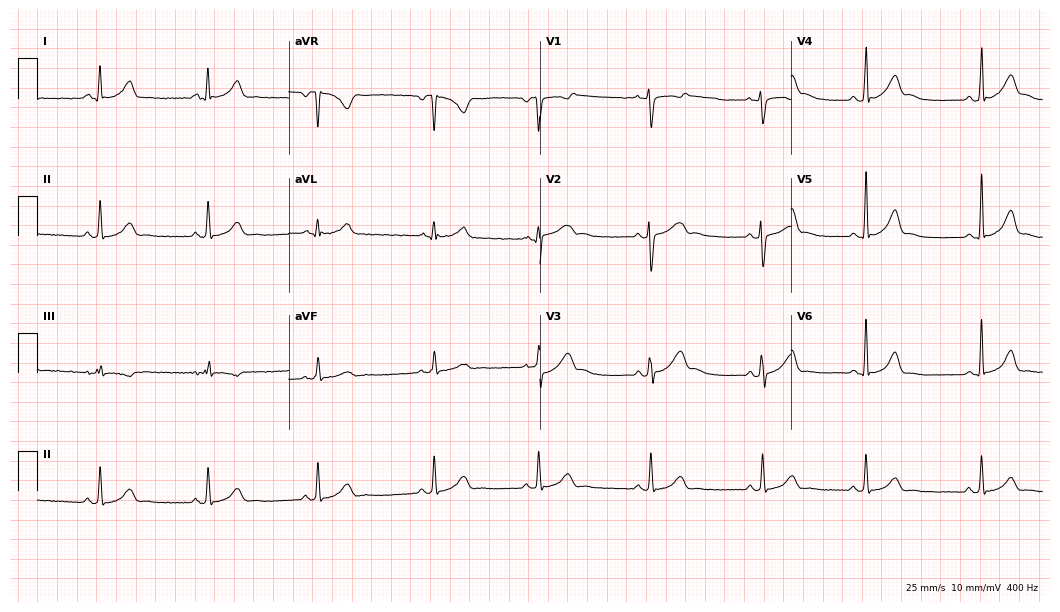
12-lead ECG from a 19-year-old woman. Labelled as a normal ECG.